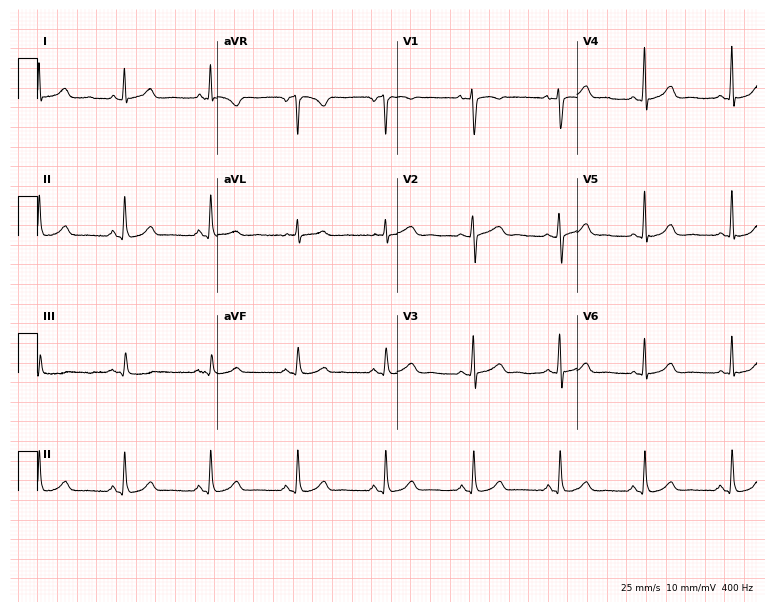
ECG (7.3-second recording at 400 Hz) — a 55-year-old woman. Screened for six findings — first-degree AV block, right bundle branch block, left bundle branch block, sinus bradycardia, atrial fibrillation, sinus tachycardia — none is recorded. Findings outside these six are not listed.